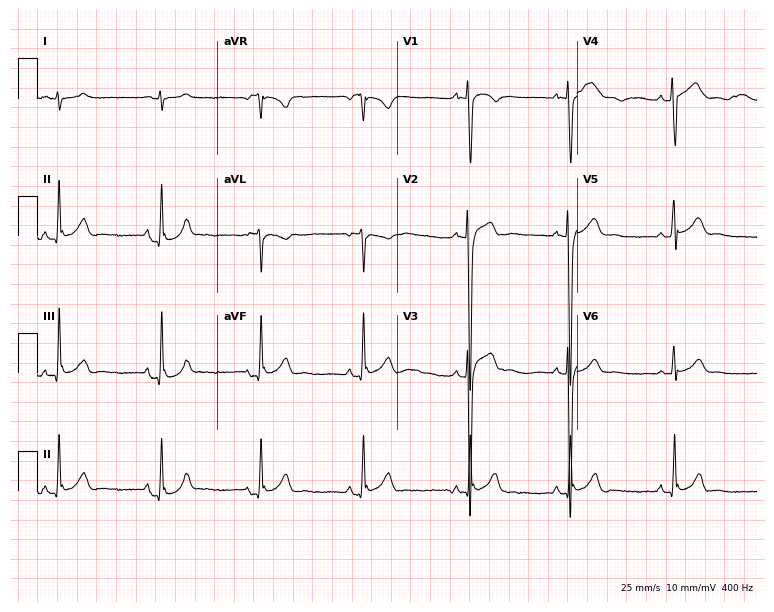
Standard 12-lead ECG recorded from a male, 23 years old. None of these six findings is recorded: first-degree AV block, right bundle branch block (RBBB), left bundle branch block (LBBB), sinus bradycardia, atrial fibrillation (AF), sinus tachycardia. Findings outside these six are not listed.